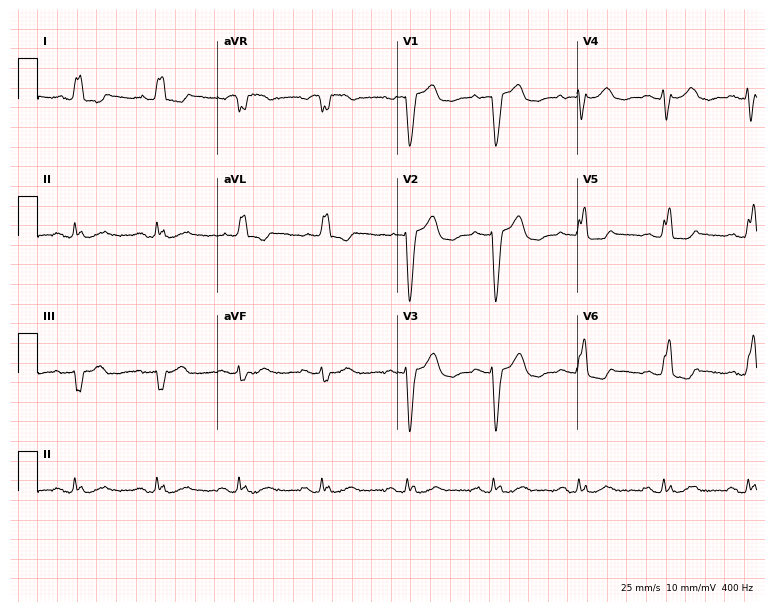
Standard 12-lead ECG recorded from an 82-year-old female (7.3-second recording at 400 Hz). The tracing shows left bundle branch block.